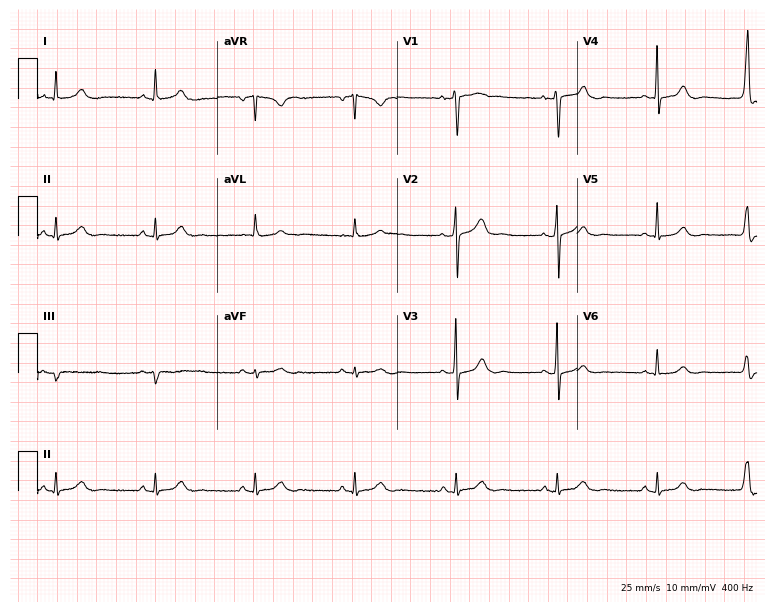
12-lead ECG from a 61-year-old male patient (7.3-second recording at 400 Hz). No first-degree AV block, right bundle branch block (RBBB), left bundle branch block (LBBB), sinus bradycardia, atrial fibrillation (AF) or sinus tachycardia recorded for this tracing. Other findings, if any, are not listed.